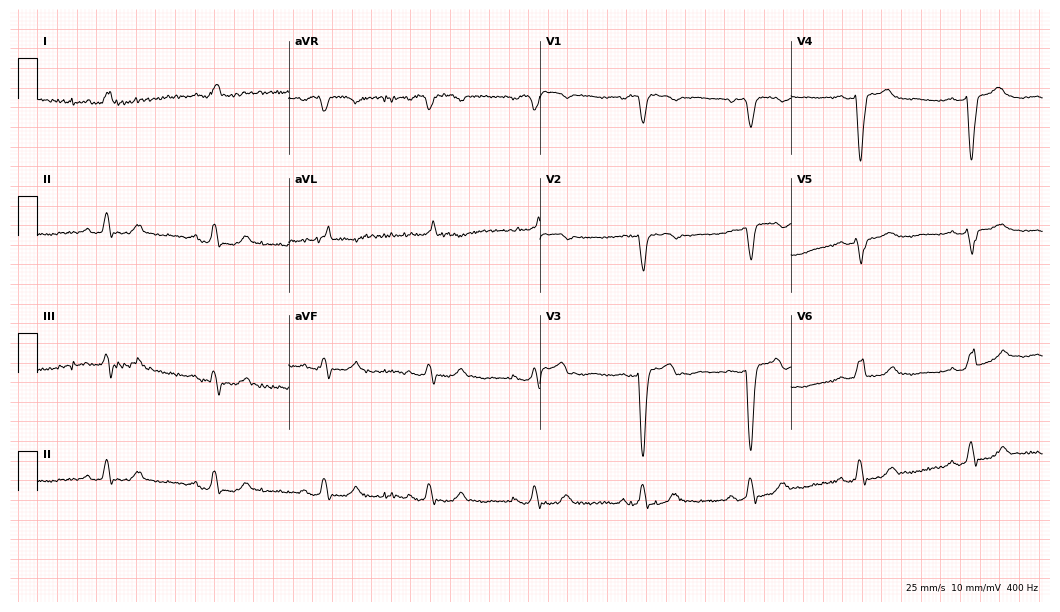
ECG (10.2-second recording at 400 Hz) — an 87-year-old male patient. Findings include left bundle branch block.